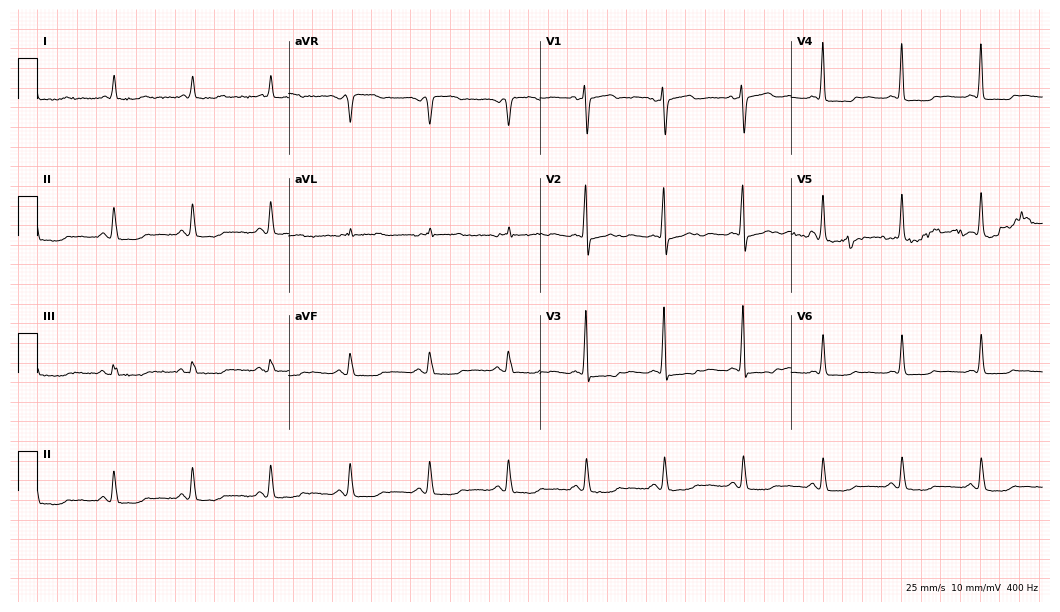
Resting 12-lead electrocardiogram (10.2-second recording at 400 Hz). Patient: a female, 85 years old. None of these six findings is recorded: first-degree AV block, right bundle branch block, left bundle branch block, sinus bradycardia, atrial fibrillation, sinus tachycardia. Other findings, if any, are not listed.